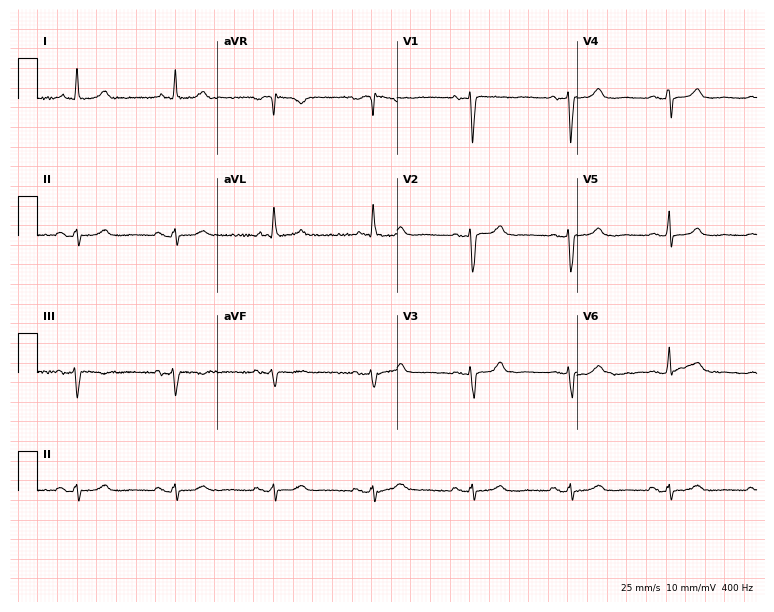
Standard 12-lead ECG recorded from a woman, 81 years old (7.3-second recording at 400 Hz). None of these six findings is recorded: first-degree AV block, right bundle branch block (RBBB), left bundle branch block (LBBB), sinus bradycardia, atrial fibrillation (AF), sinus tachycardia.